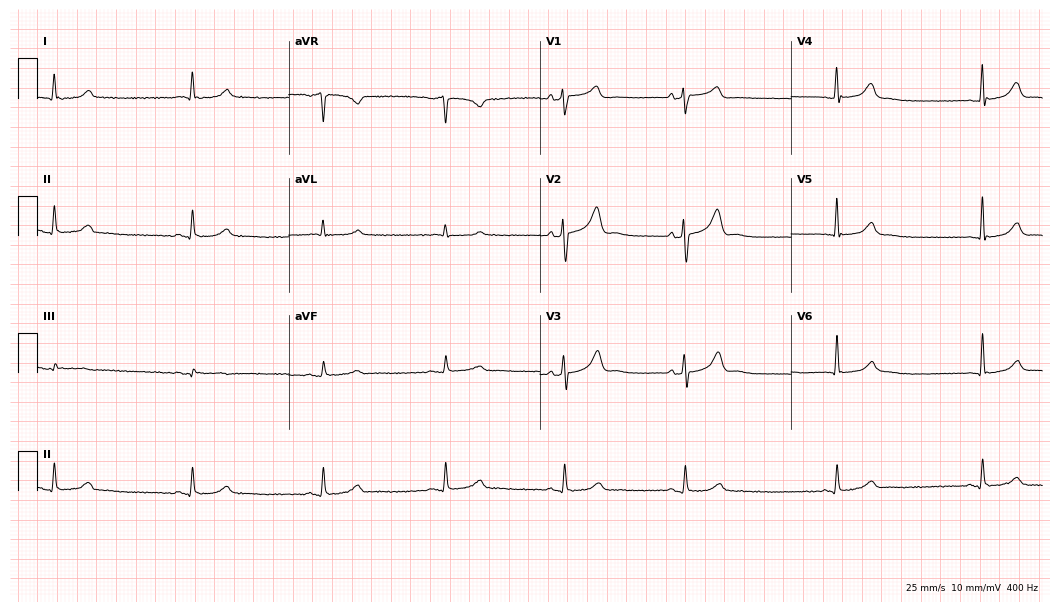
12-lead ECG (10.2-second recording at 400 Hz) from a 73-year-old woman. Findings include sinus bradycardia (a sinus rate of 50 beats per minute or less).